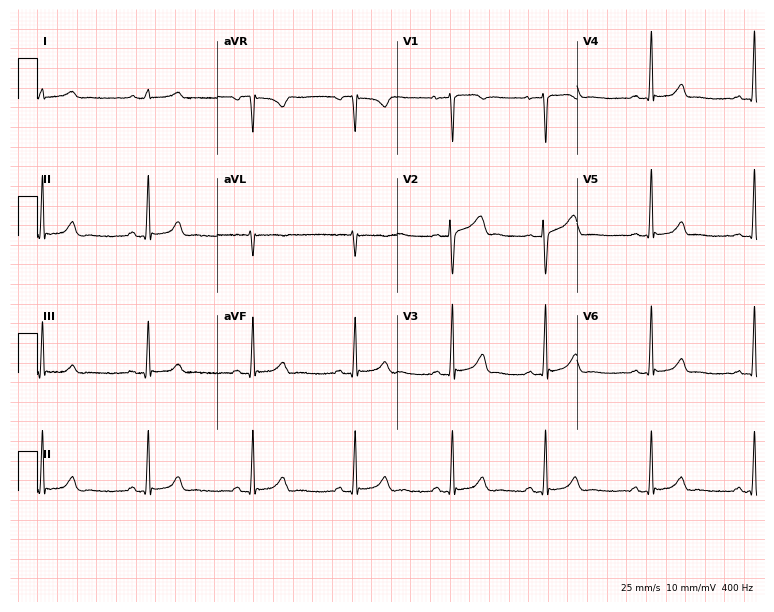
12-lead ECG from a 41-year-old female. Labelled as a normal ECG.